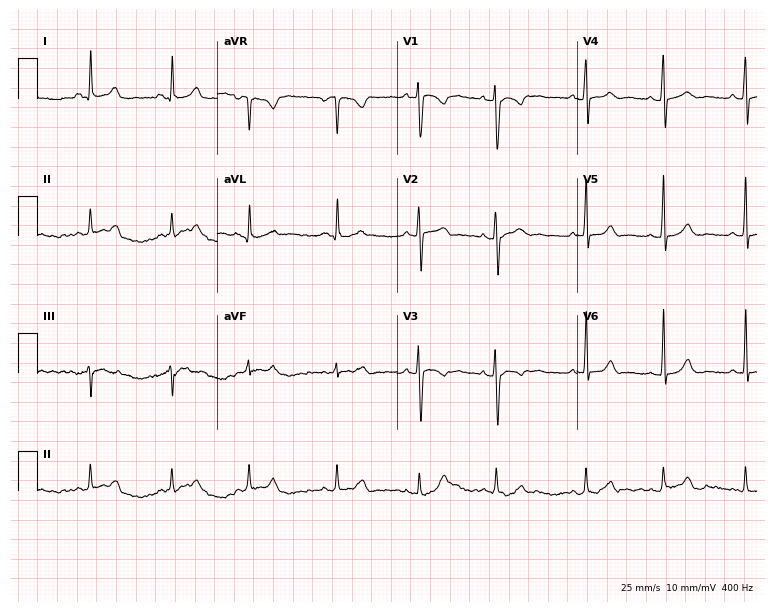
Standard 12-lead ECG recorded from an 18-year-old female patient (7.3-second recording at 400 Hz). Read as a normal ECG.